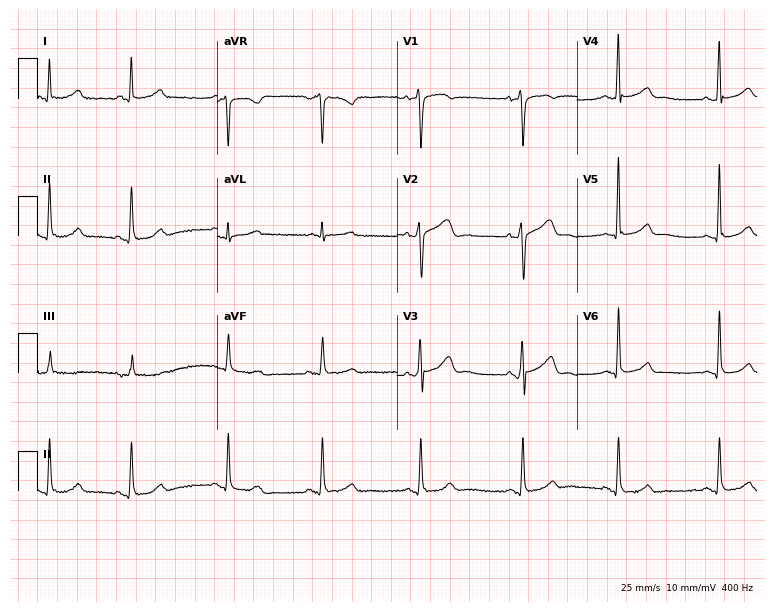
ECG (7.3-second recording at 400 Hz) — a female patient, 51 years old. Labelled as a normal ECG.